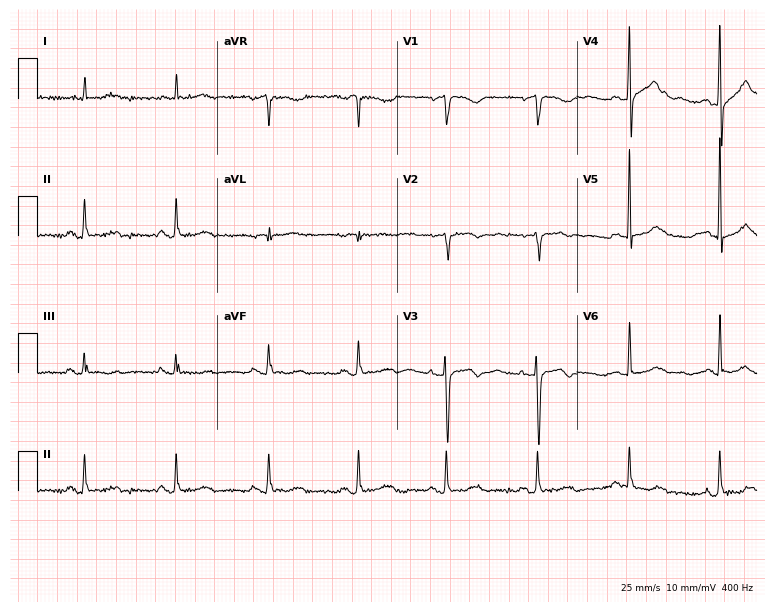
Standard 12-lead ECG recorded from an 83-year-old female (7.3-second recording at 400 Hz). Read as a normal ECG.